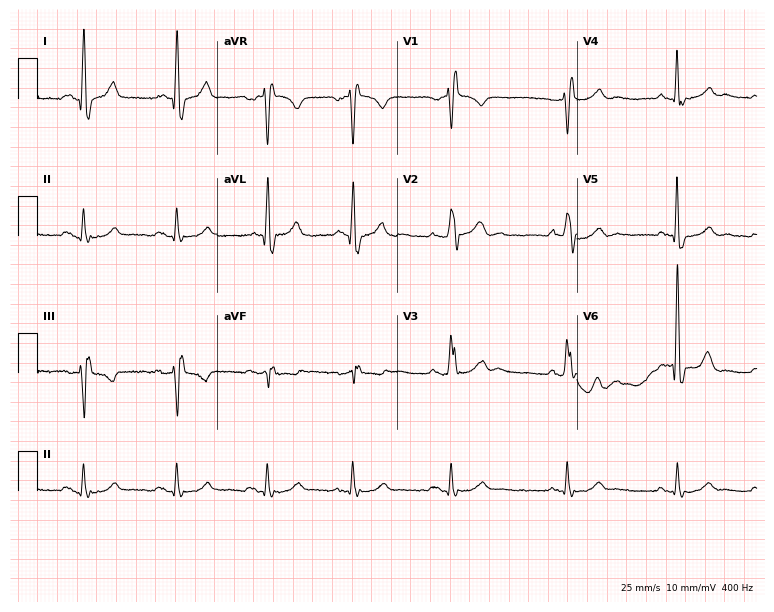
12-lead ECG from a 75-year-old male (7.3-second recording at 400 Hz). Shows right bundle branch block (RBBB).